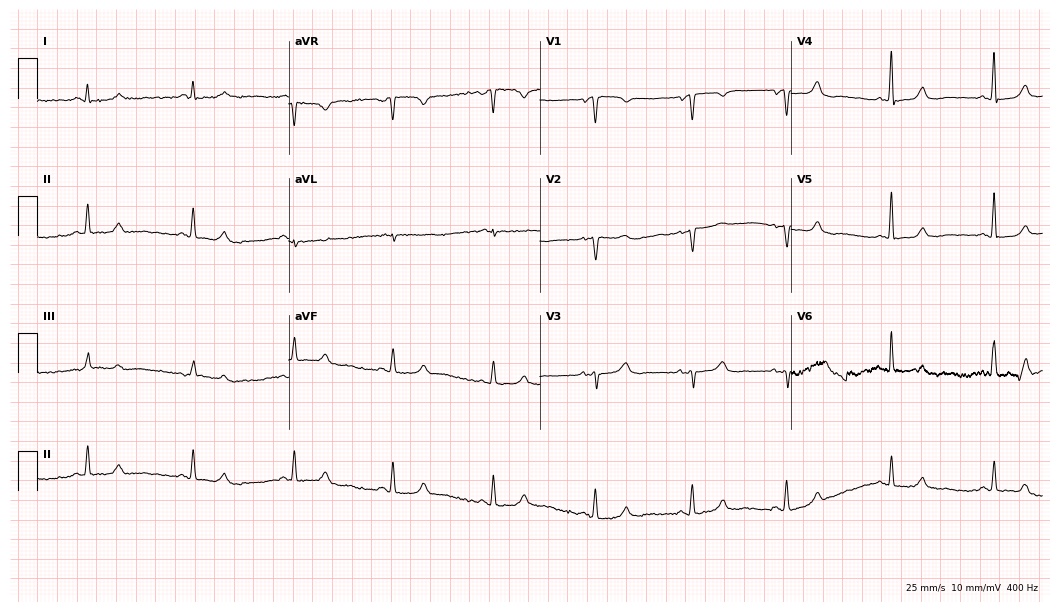
Electrocardiogram, a 43-year-old woman. Overall reading on record: normal ECG.